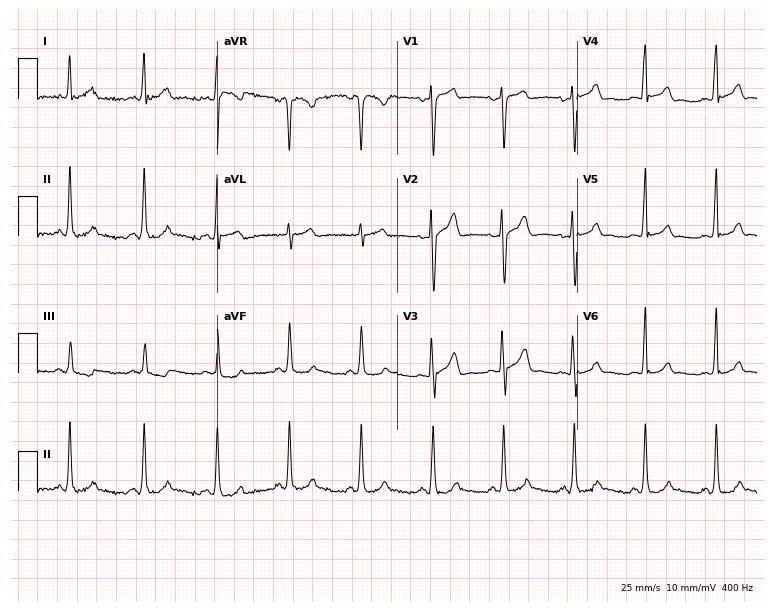
12-lead ECG from a male, 52 years old (7.3-second recording at 400 Hz). Recorded interpretation: within normal limits.